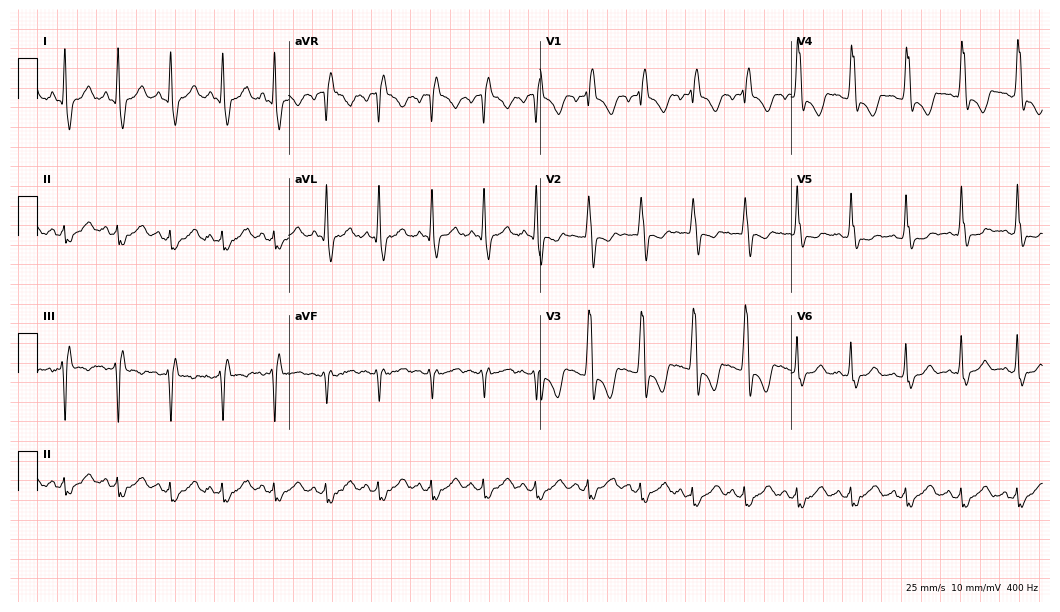
12-lead ECG from a female patient, 23 years old. Findings include right bundle branch block, sinus tachycardia (a sinus rate of 100 beats per minute or more).